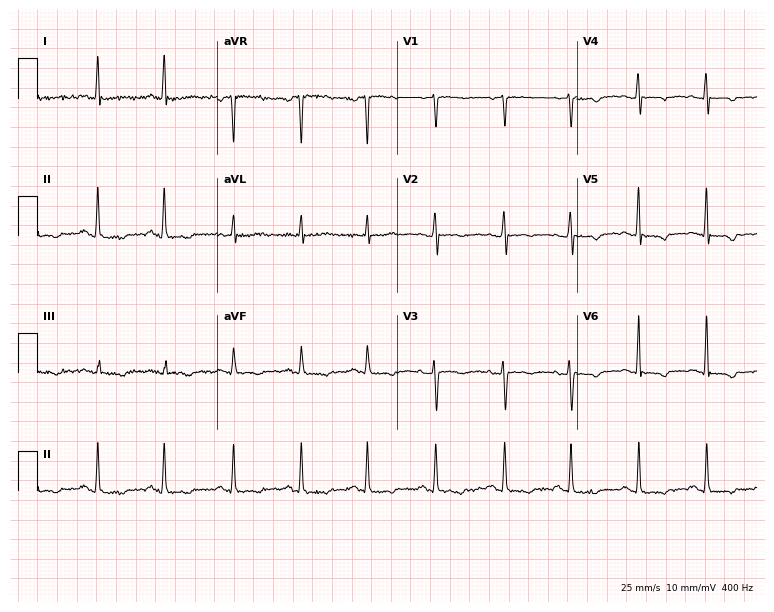
Standard 12-lead ECG recorded from a 36-year-old woman (7.3-second recording at 400 Hz). None of these six findings is recorded: first-degree AV block, right bundle branch block, left bundle branch block, sinus bradycardia, atrial fibrillation, sinus tachycardia. Findings outside these six are not listed.